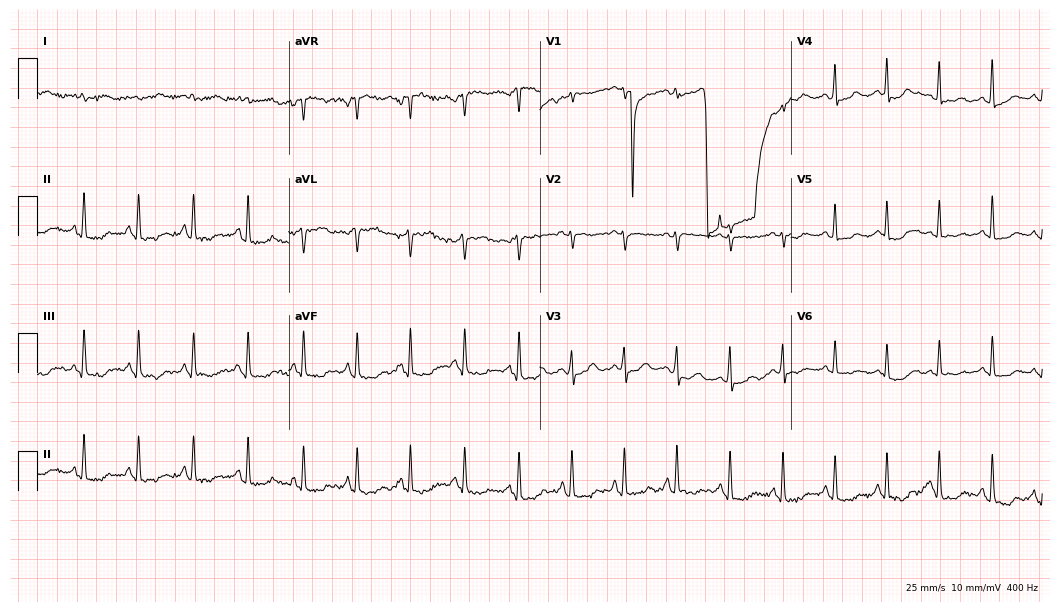
12-lead ECG from a 41-year-old female. No first-degree AV block, right bundle branch block (RBBB), left bundle branch block (LBBB), sinus bradycardia, atrial fibrillation (AF) or sinus tachycardia recorded for this tracing. Findings outside these six are not listed.